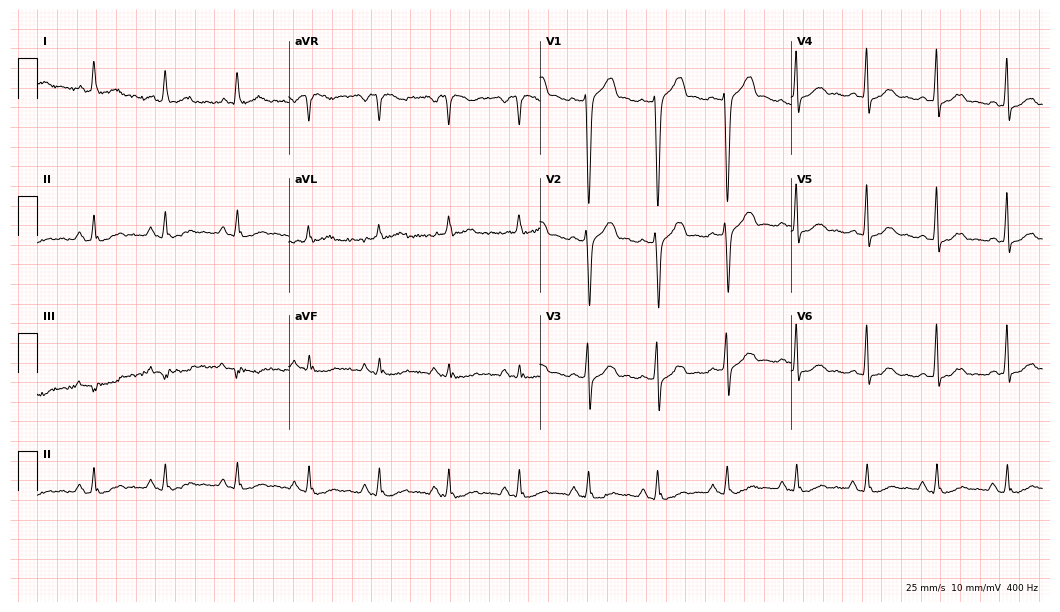
Standard 12-lead ECG recorded from a 44-year-old female (10.2-second recording at 400 Hz). Read as a normal ECG.